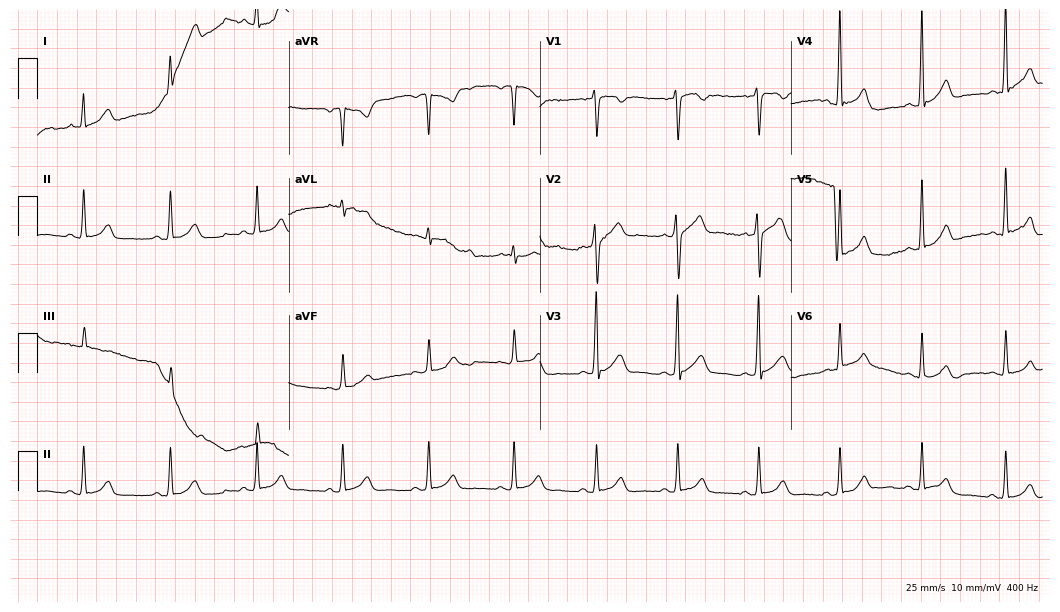
Standard 12-lead ECG recorded from a male, 34 years old (10.2-second recording at 400 Hz). Read as a normal ECG.